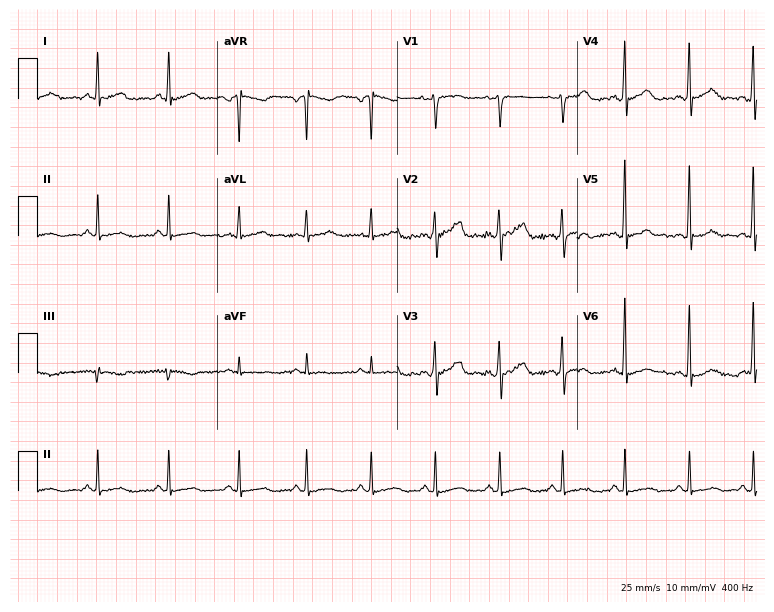
ECG (7.3-second recording at 400 Hz) — a 43-year-old female. Screened for six findings — first-degree AV block, right bundle branch block (RBBB), left bundle branch block (LBBB), sinus bradycardia, atrial fibrillation (AF), sinus tachycardia — none is recorded.